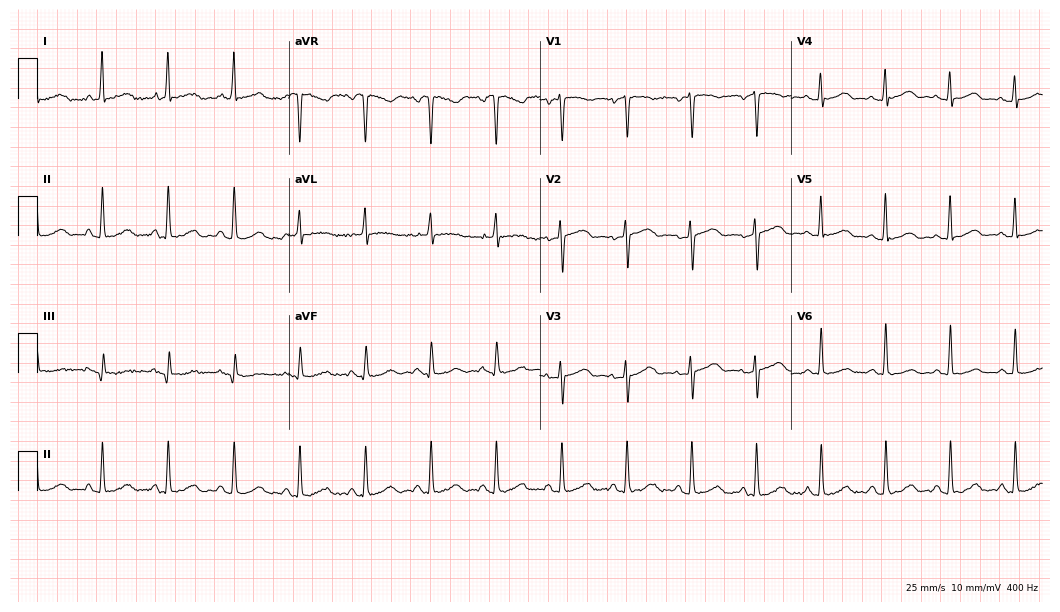
12-lead ECG from a 67-year-old female. Labelled as a normal ECG.